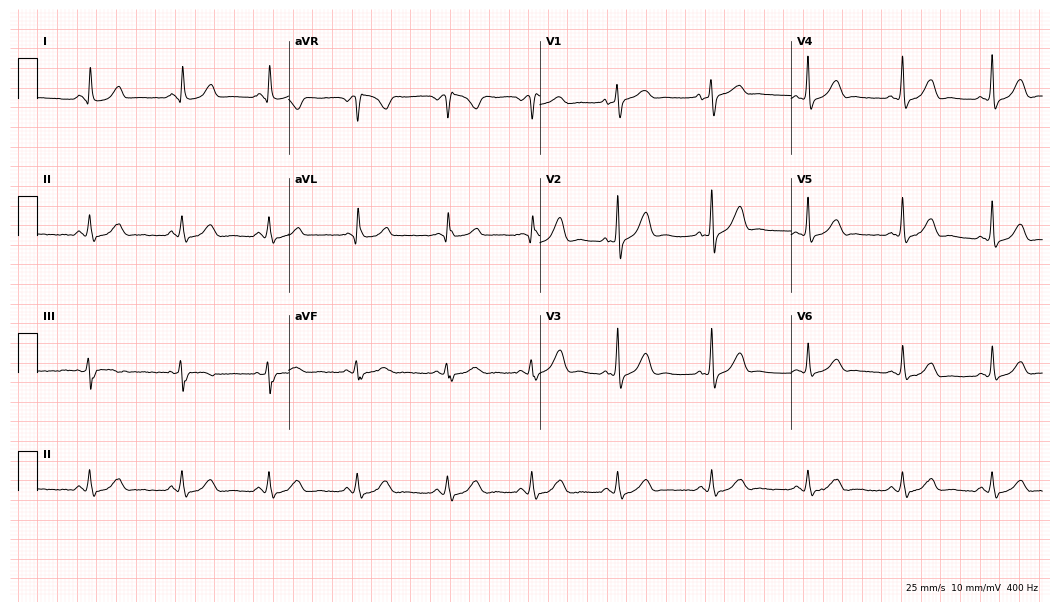
12-lead ECG from a woman, 36 years old (10.2-second recording at 400 Hz). No first-degree AV block, right bundle branch block, left bundle branch block, sinus bradycardia, atrial fibrillation or sinus tachycardia recorded for this tracing.